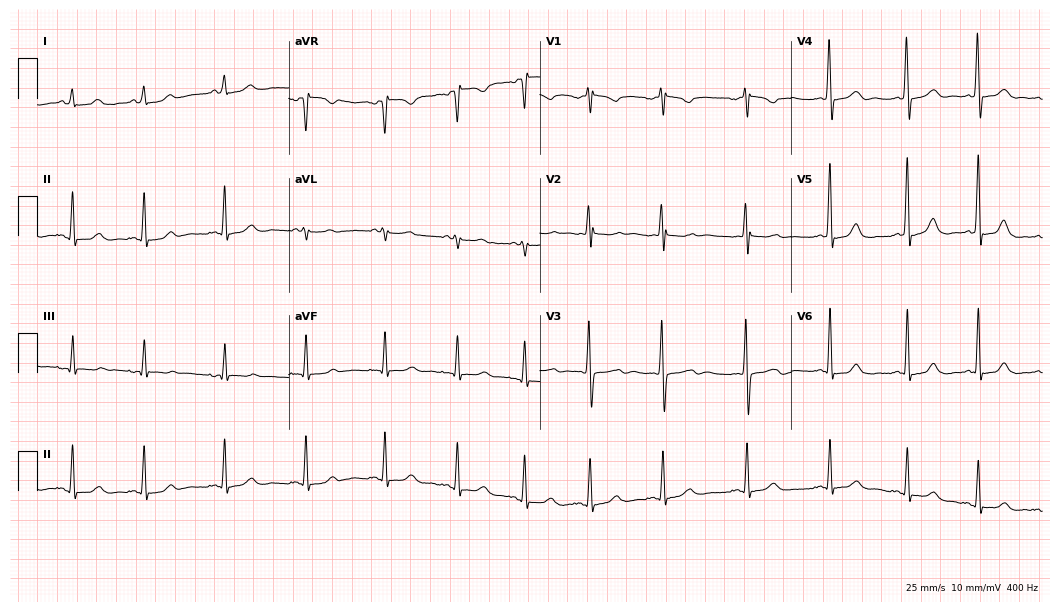
12-lead ECG from a 21-year-old female patient. No first-degree AV block, right bundle branch block, left bundle branch block, sinus bradycardia, atrial fibrillation or sinus tachycardia recorded for this tracing. Findings outside these six are not listed.